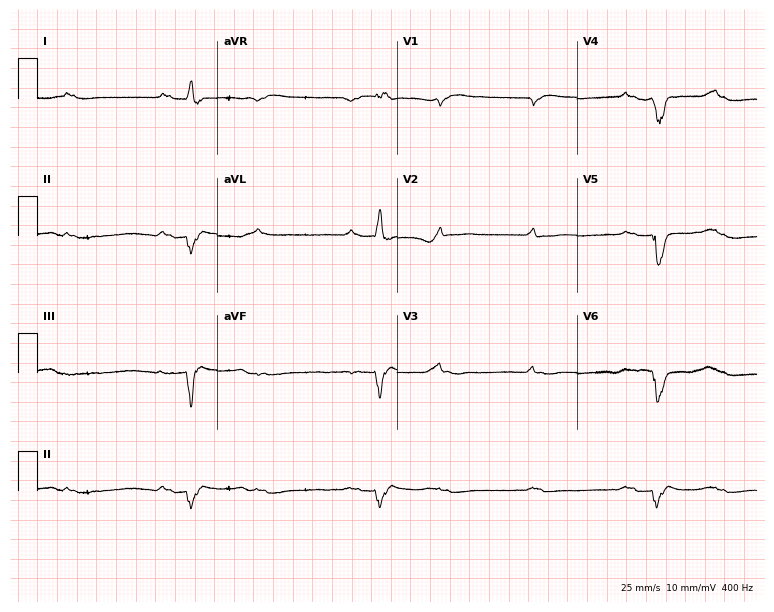
Standard 12-lead ECG recorded from a 50-year-old male patient (7.3-second recording at 400 Hz). None of these six findings is recorded: first-degree AV block, right bundle branch block (RBBB), left bundle branch block (LBBB), sinus bradycardia, atrial fibrillation (AF), sinus tachycardia. Only these six findings were labelled.